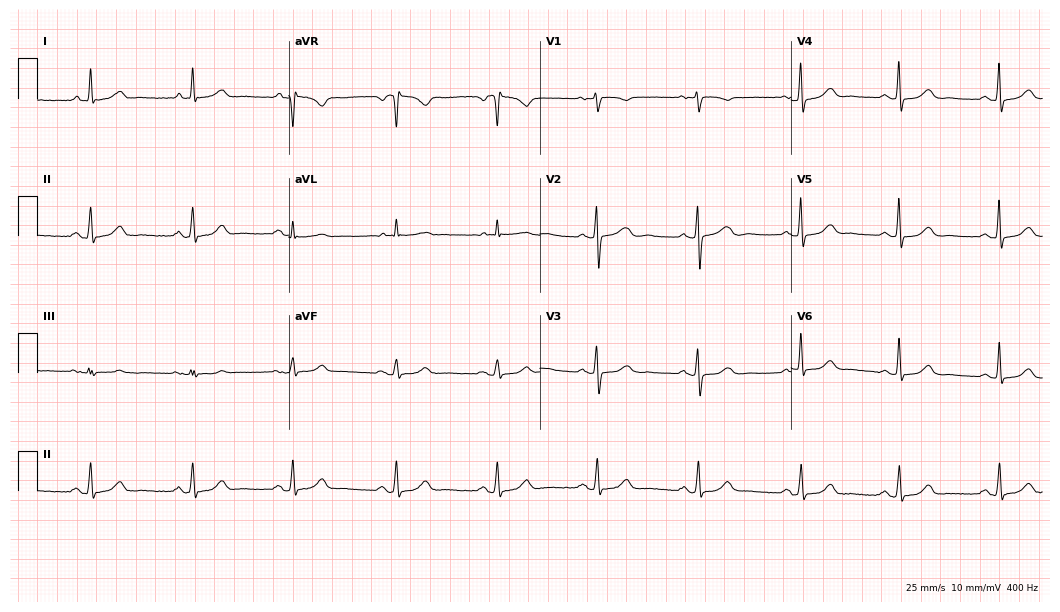
Resting 12-lead electrocardiogram. Patient: a 64-year-old female. Read as a normal ECG.